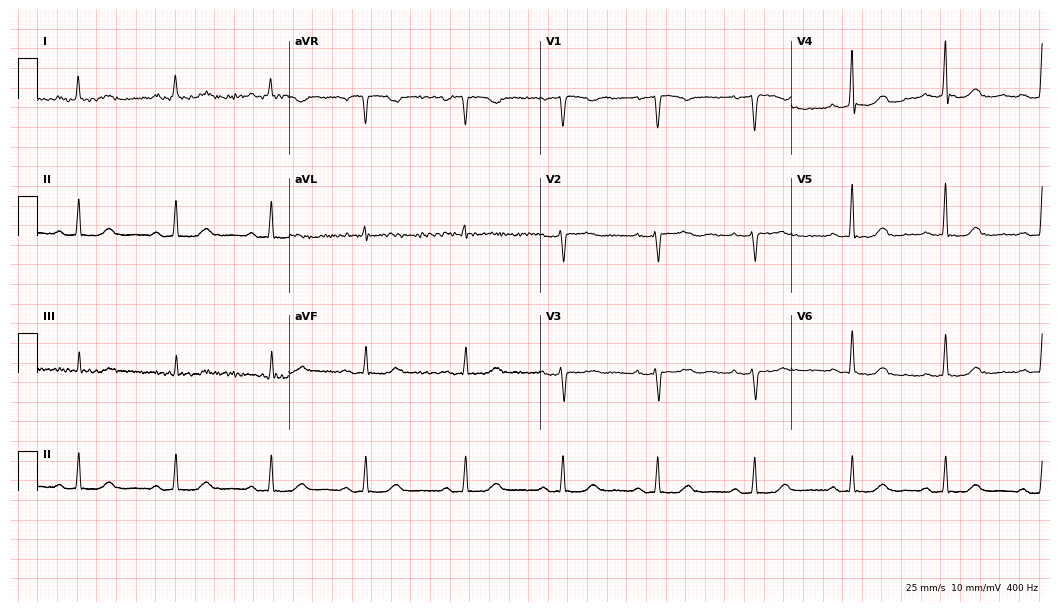
12-lead ECG (10.2-second recording at 400 Hz) from a 57-year-old female patient. Screened for six findings — first-degree AV block, right bundle branch block (RBBB), left bundle branch block (LBBB), sinus bradycardia, atrial fibrillation (AF), sinus tachycardia — none is recorded.